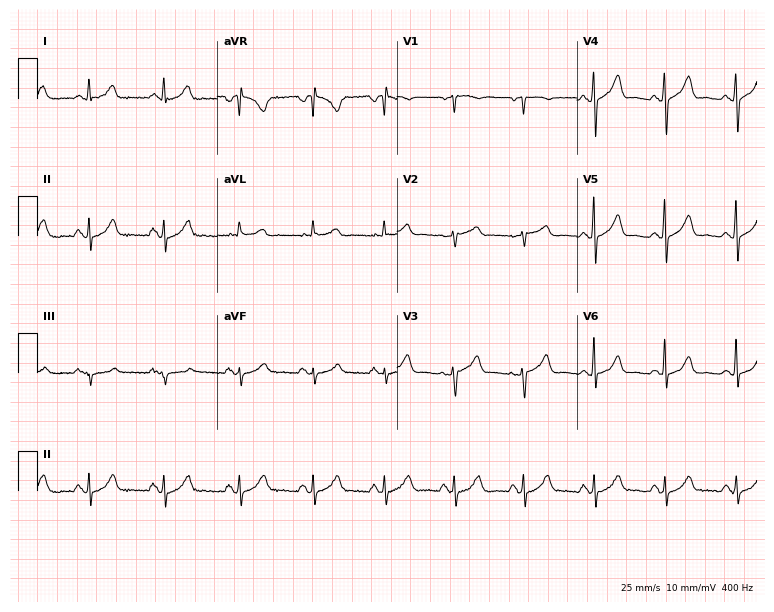
ECG — a female patient, 53 years old. Labelled as a normal ECG.